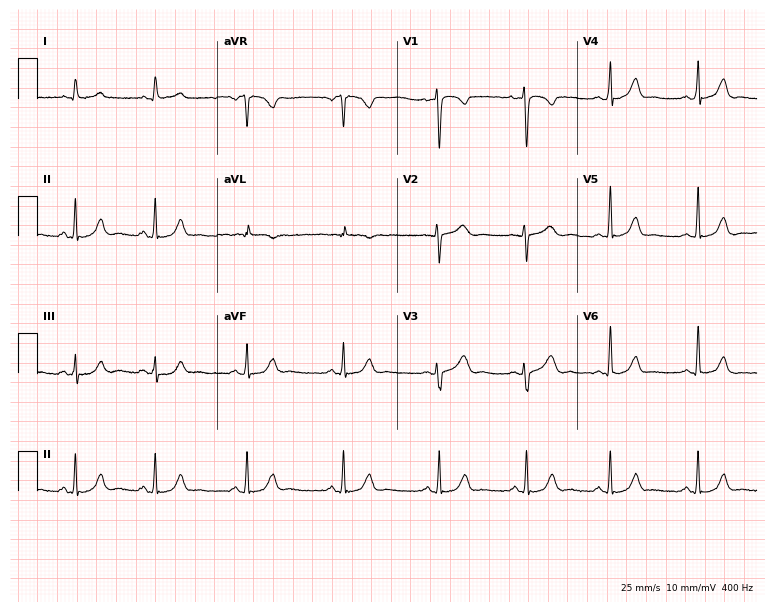
Standard 12-lead ECG recorded from a female, 27 years old. Read as a normal ECG.